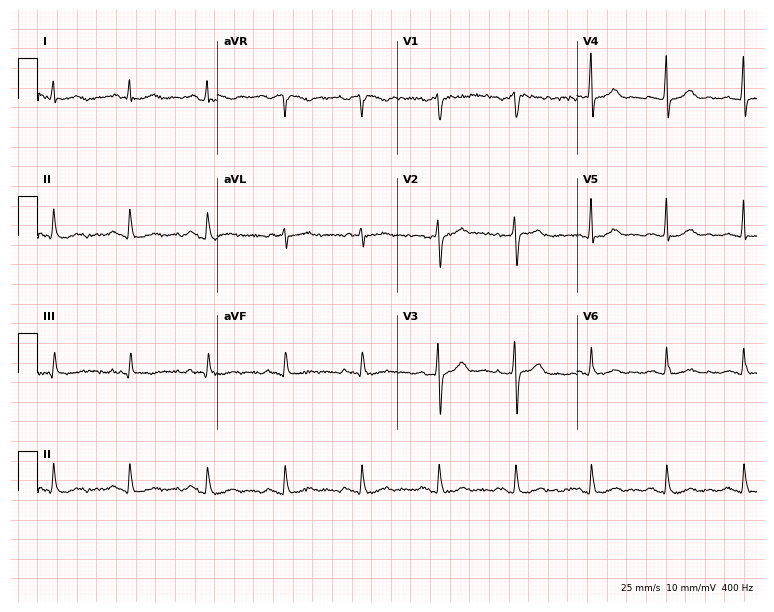
ECG — a 54-year-old man. Labelled as a normal ECG.